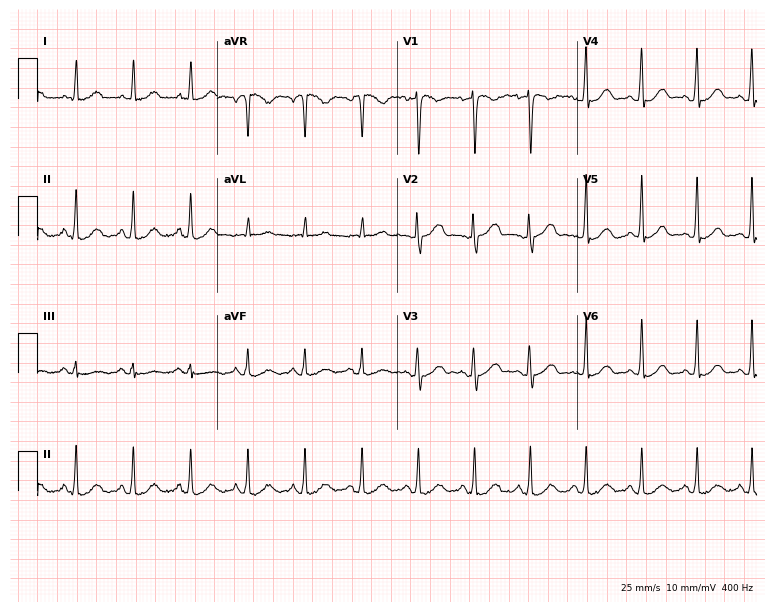
ECG (7.3-second recording at 400 Hz) — a 56-year-old female. Labelled as a normal ECG.